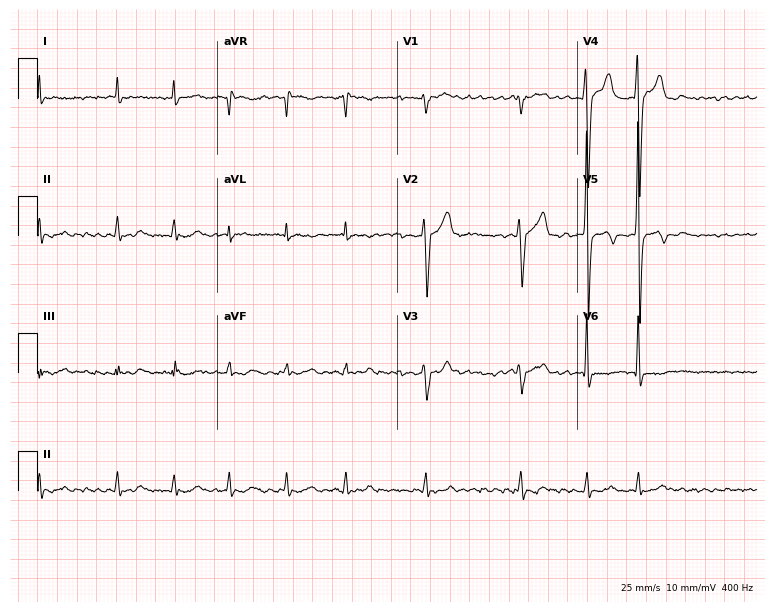
12-lead ECG from a man, 39 years old. Screened for six findings — first-degree AV block, right bundle branch block (RBBB), left bundle branch block (LBBB), sinus bradycardia, atrial fibrillation (AF), sinus tachycardia — none is recorded.